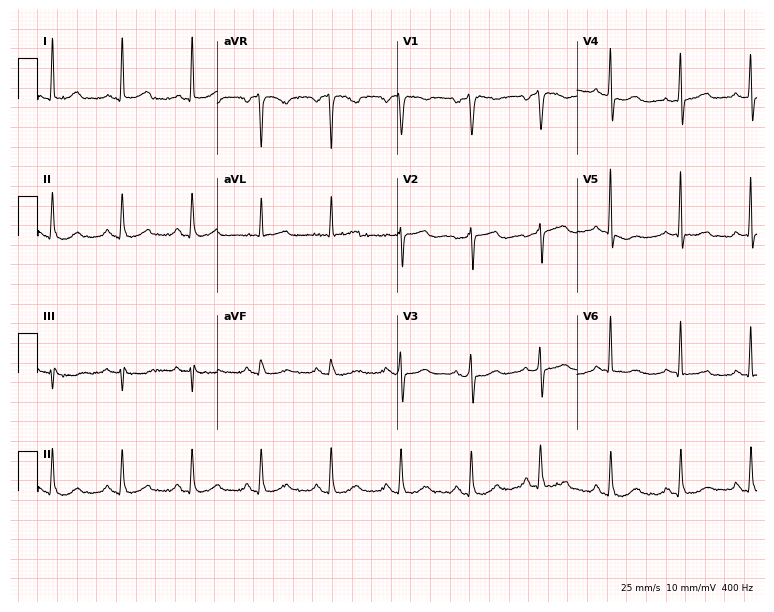
Standard 12-lead ECG recorded from a female patient, 81 years old (7.3-second recording at 400 Hz). None of these six findings is recorded: first-degree AV block, right bundle branch block, left bundle branch block, sinus bradycardia, atrial fibrillation, sinus tachycardia.